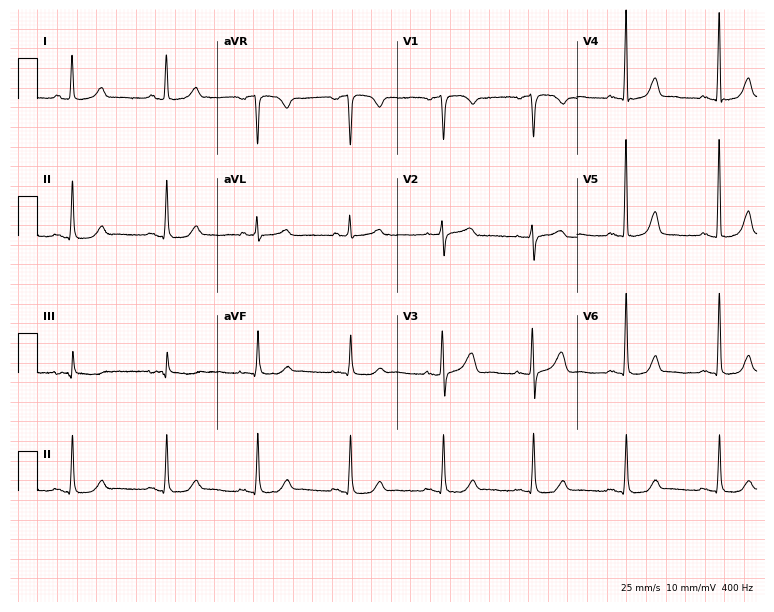
Resting 12-lead electrocardiogram. Patient: a female, 72 years old. Read as a normal ECG.